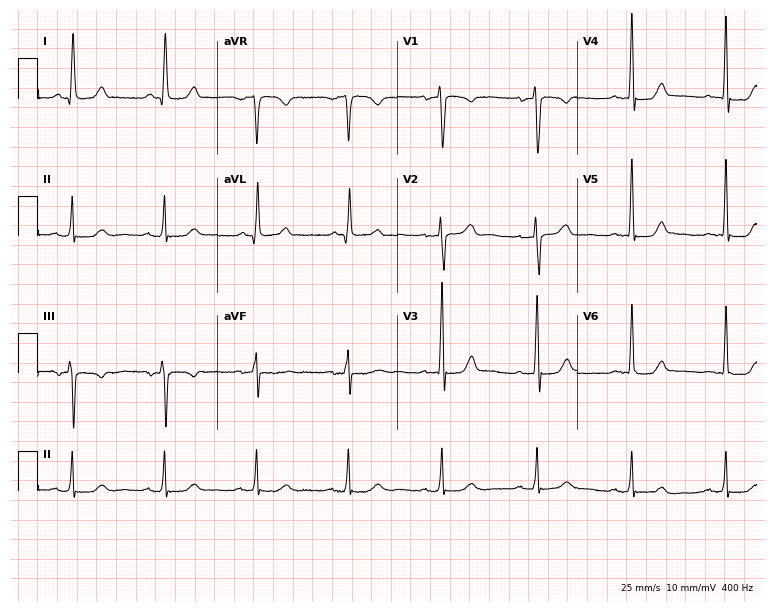
12-lead ECG (7.3-second recording at 400 Hz) from a 59-year-old woman. Labelled as a normal ECG.